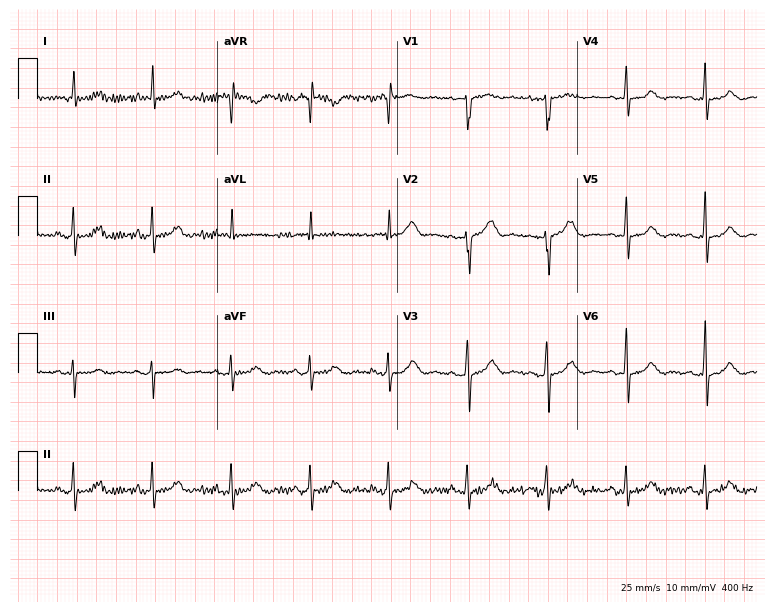
Standard 12-lead ECG recorded from a 59-year-old female patient (7.3-second recording at 400 Hz). Read as a normal ECG.